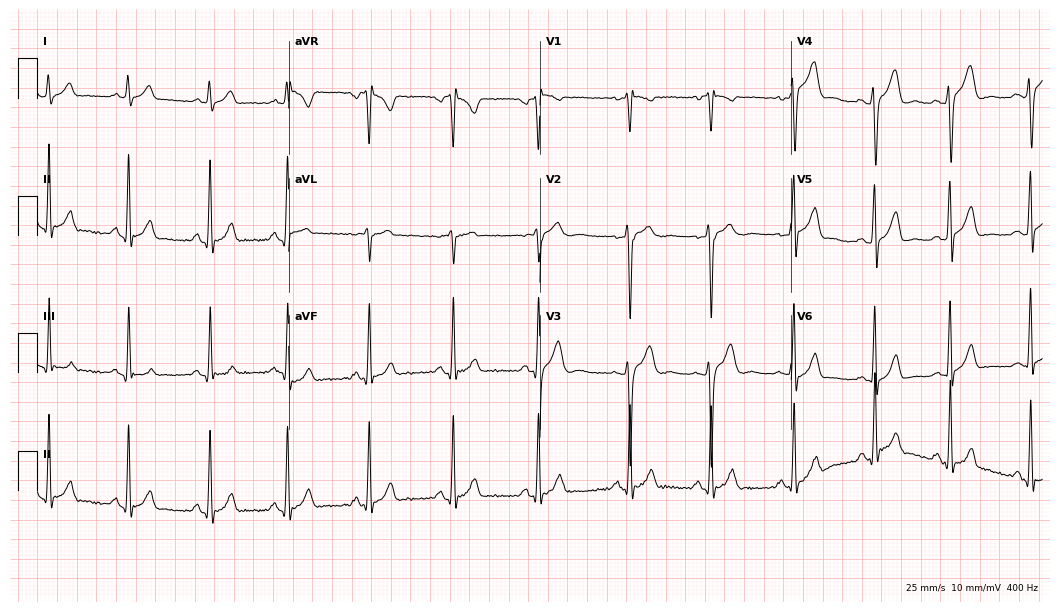
12-lead ECG from a male patient, 21 years old. Labelled as a normal ECG.